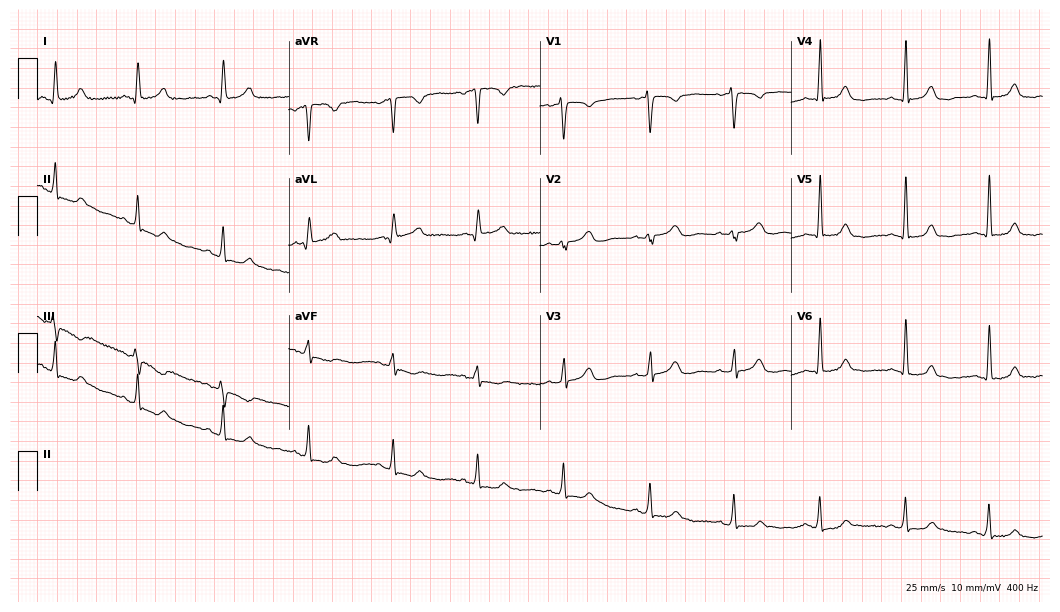
12-lead ECG from a female patient, 45 years old (10.2-second recording at 400 Hz). Recorded interpretation: within normal limits.